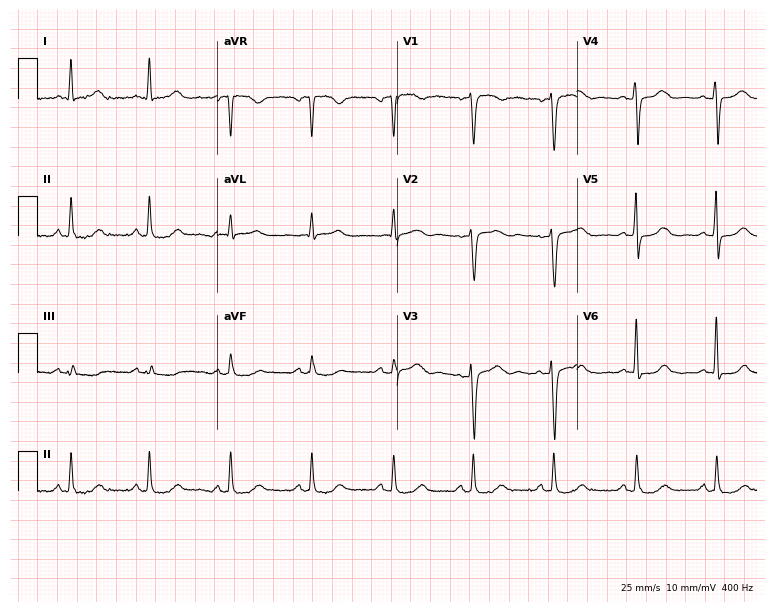
ECG — a 41-year-old woman. Labelled as a normal ECG.